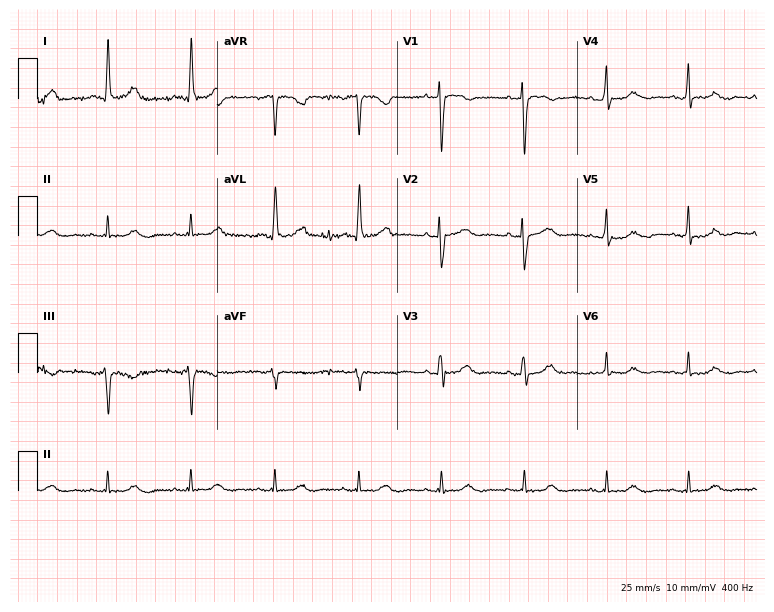
12-lead ECG from a 74-year-old woman. Labelled as a normal ECG.